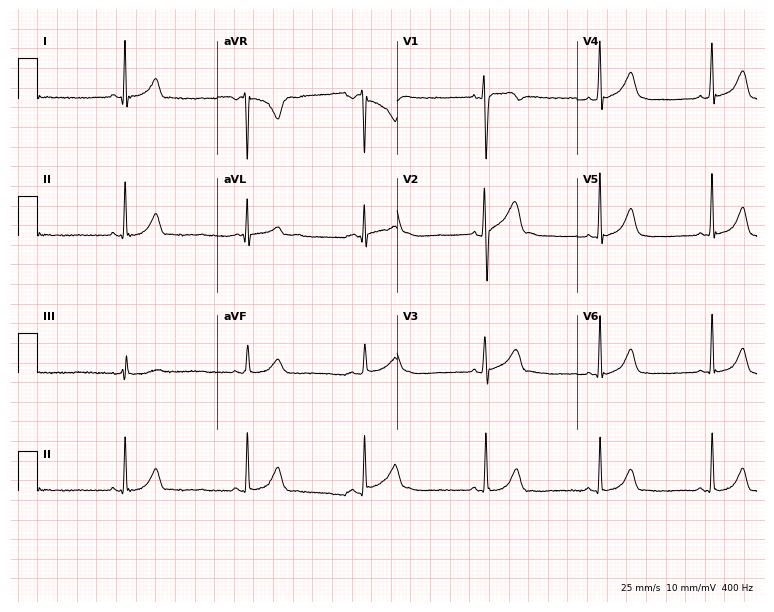
Resting 12-lead electrocardiogram (7.3-second recording at 400 Hz). Patient: an 18-year-old male. The tracing shows sinus bradycardia (a sinus rate of 50 beats per minute or less).